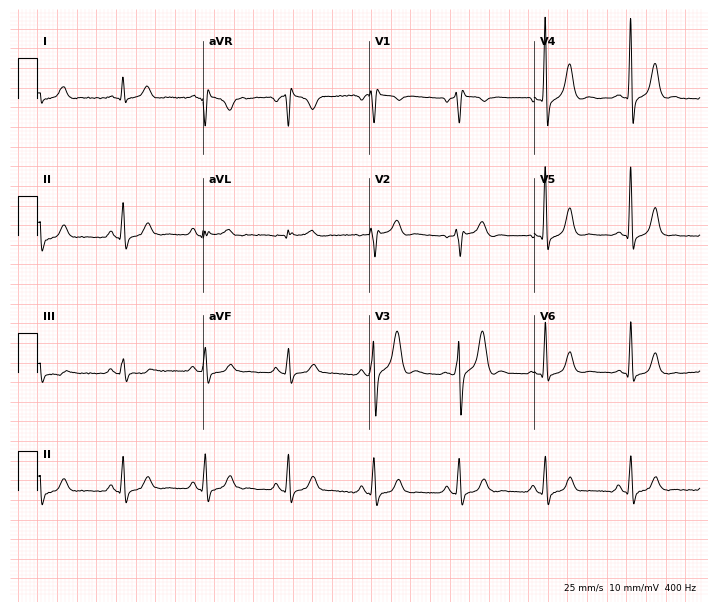
Electrocardiogram, a male, 51 years old. Of the six screened findings (first-degree AV block, right bundle branch block (RBBB), left bundle branch block (LBBB), sinus bradycardia, atrial fibrillation (AF), sinus tachycardia), none is recorded.